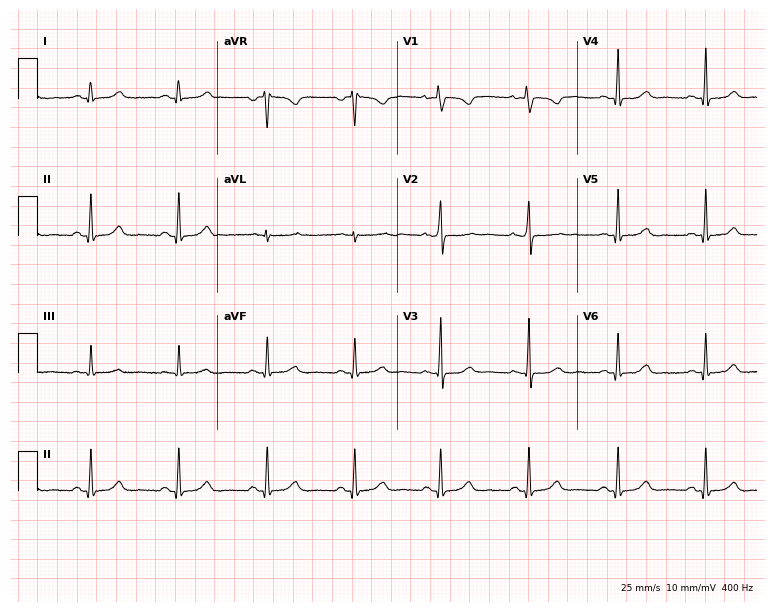
ECG — a 35-year-old woman. Labelled as a normal ECG.